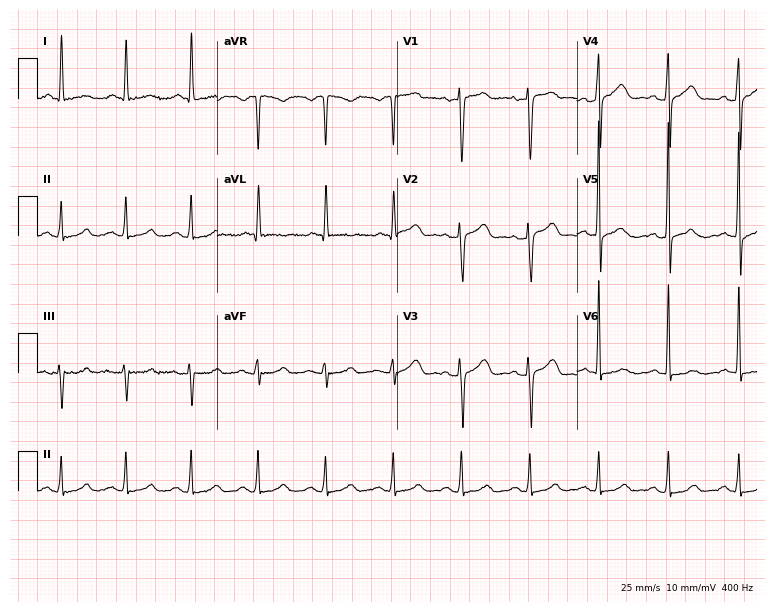
12-lead ECG from a female, 54 years old (7.3-second recording at 400 Hz). No first-degree AV block, right bundle branch block, left bundle branch block, sinus bradycardia, atrial fibrillation or sinus tachycardia recorded for this tracing. Only these six findings were labelled.